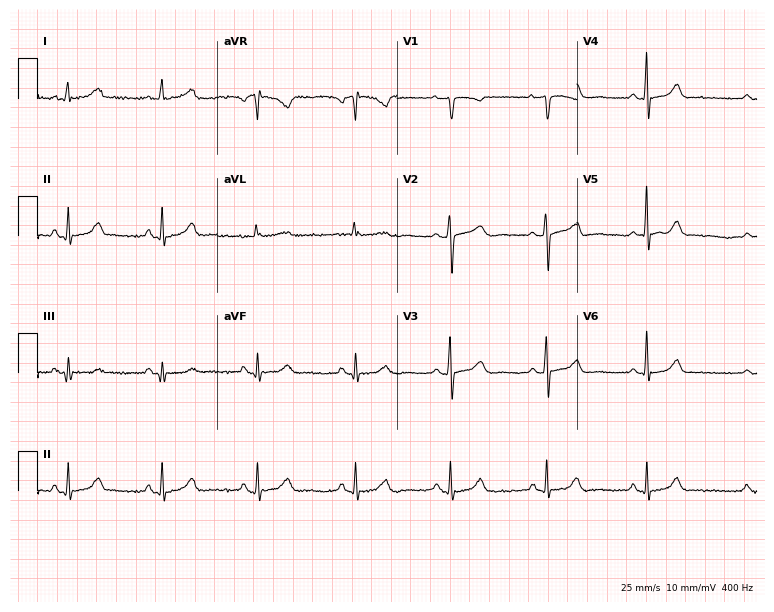
Electrocardiogram, a 55-year-old female. Overall reading on record: normal ECG.